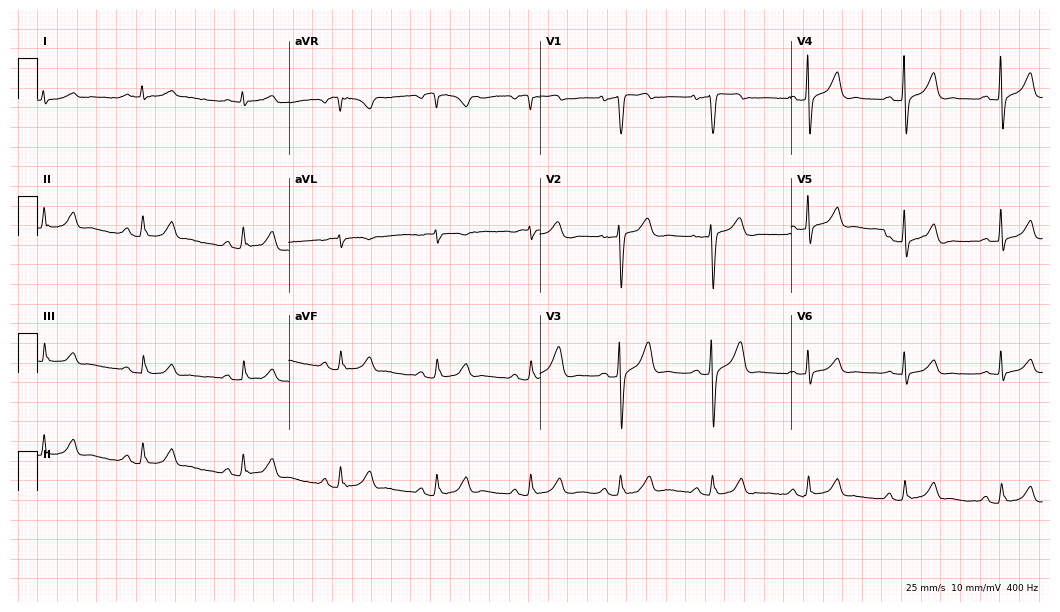
ECG (10.2-second recording at 400 Hz) — a 66-year-old male. Labelled as a normal ECG.